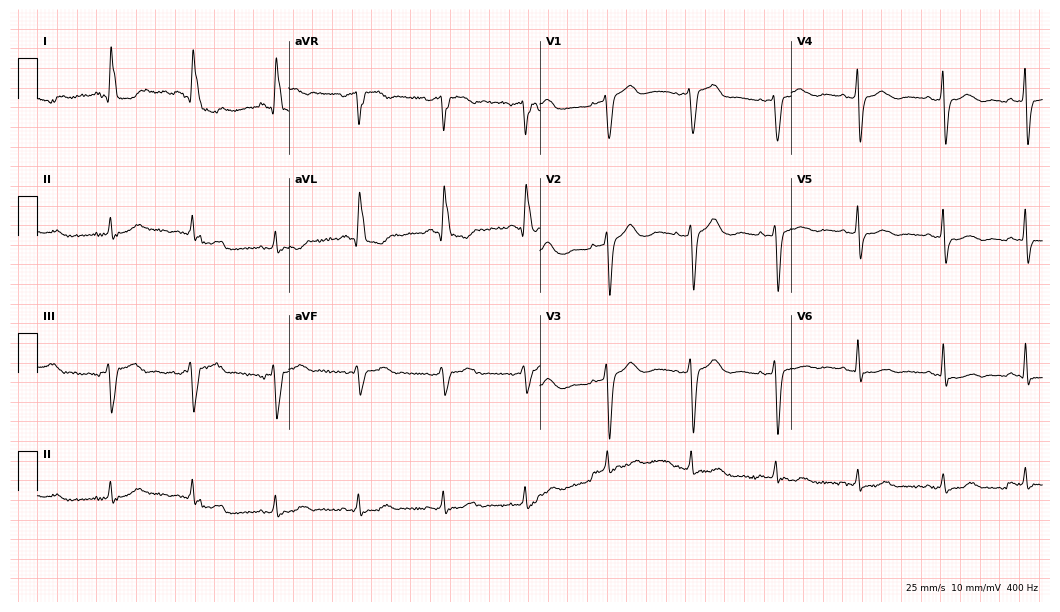
ECG (10.2-second recording at 400 Hz) — a 77-year-old female. Findings include left bundle branch block (LBBB).